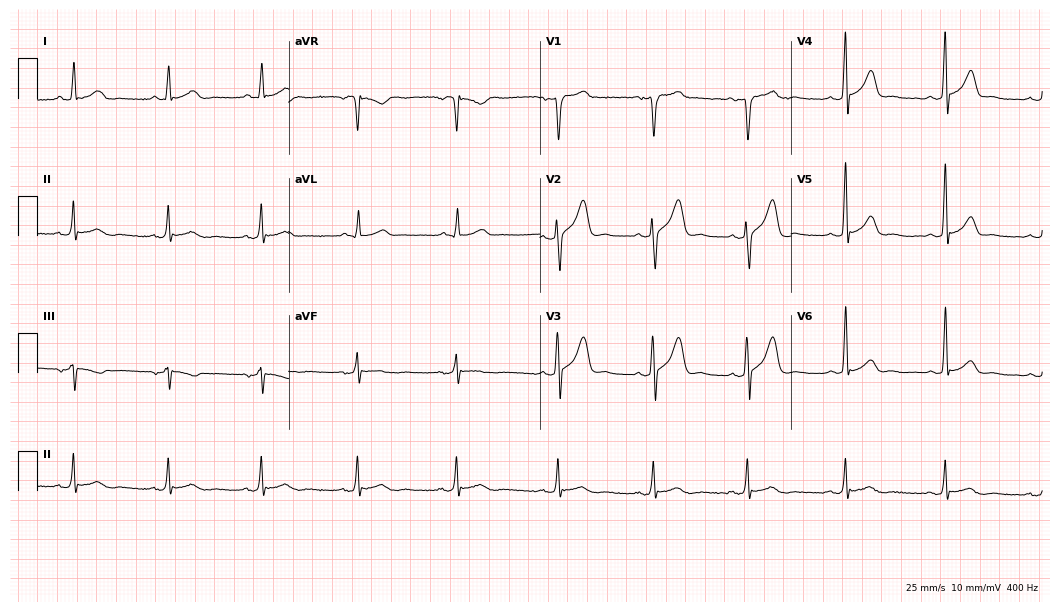
12-lead ECG from a man, 40 years old (10.2-second recording at 400 Hz). Recorded interpretation: within normal limits.